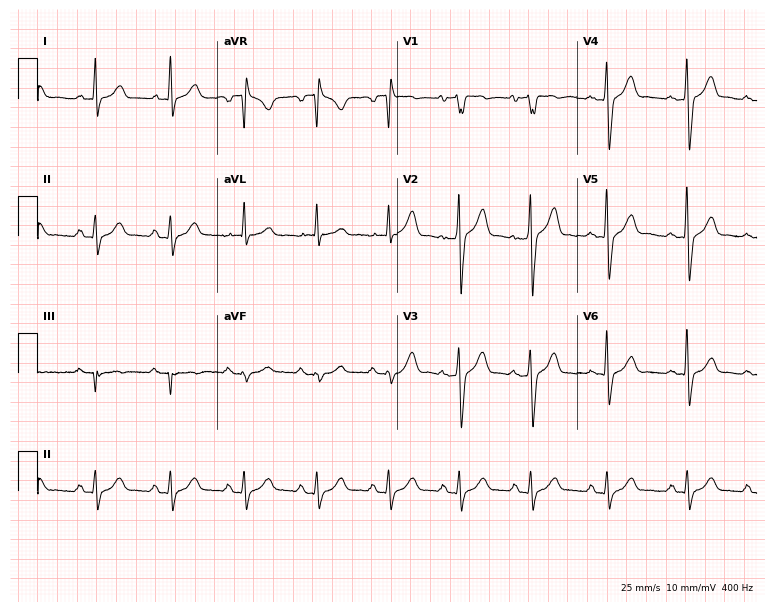
12-lead ECG from a 62-year-old male patient. No first-degree AV block, right bundle branch block (RBBB), left bundle branch block (LBBB), sinus bradycardia, atrial fibrillation (AF) or sinus tachycardia recorded for this tracing.